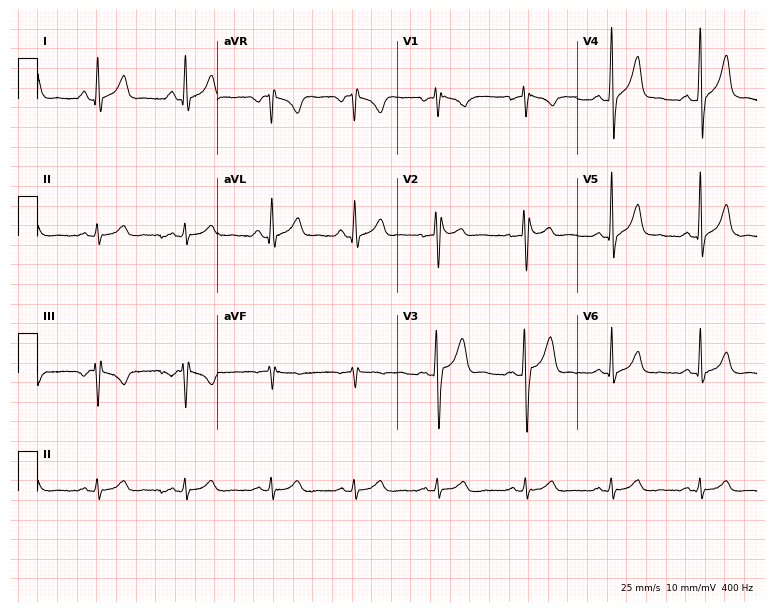
Electrocardiogram (7.3-second recording at 400 Hz), a 30-year-old man. Of the six screened findings (first-degree AV block, right bundle branch block, left bundle branch block, sinus bradycardia, atrial fibrillation, sinus tachycardia), none is recorded.